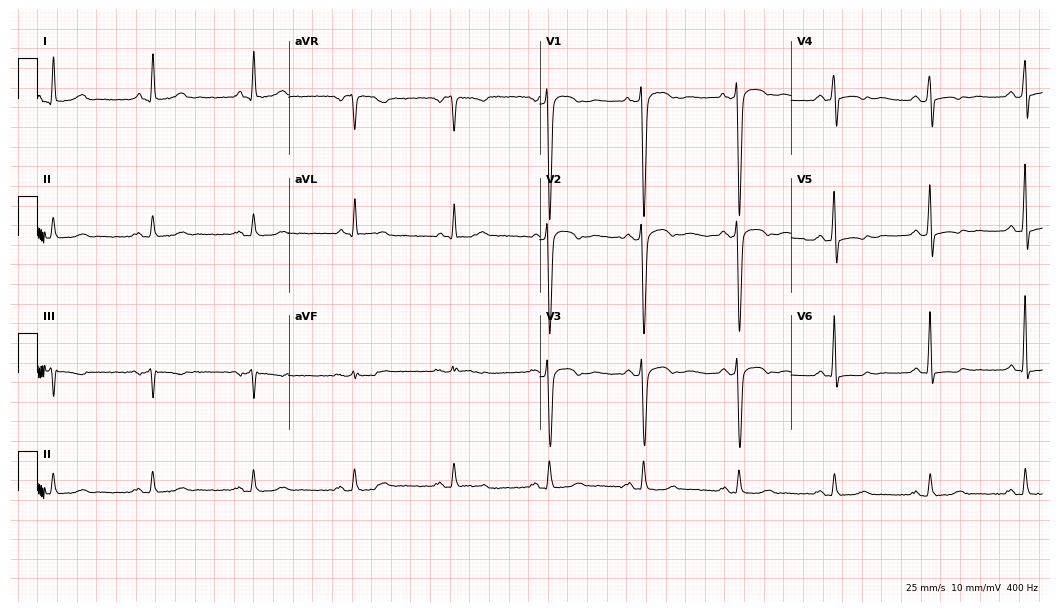
12-lead ECG from a male patient, 81 years old. No first-degree AV block, right bundle branch block, left bundle branch block, sinus bradycardia, atrial fibrillation or sinus tachycardia recorded for this tracing.